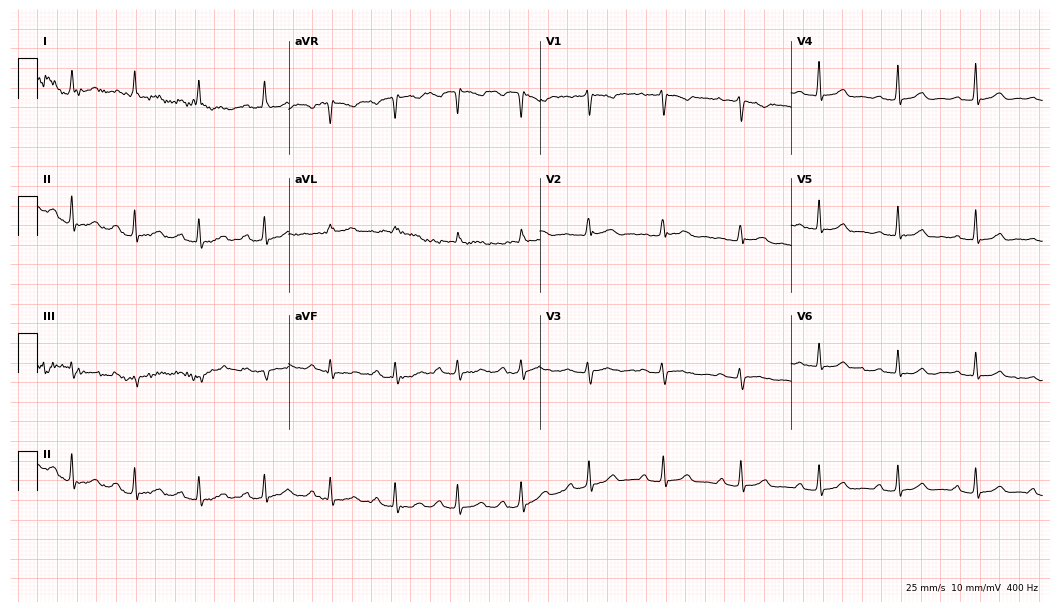
12-lead ECG from a female patient, 38 years old. Labelled as a normal ECG.